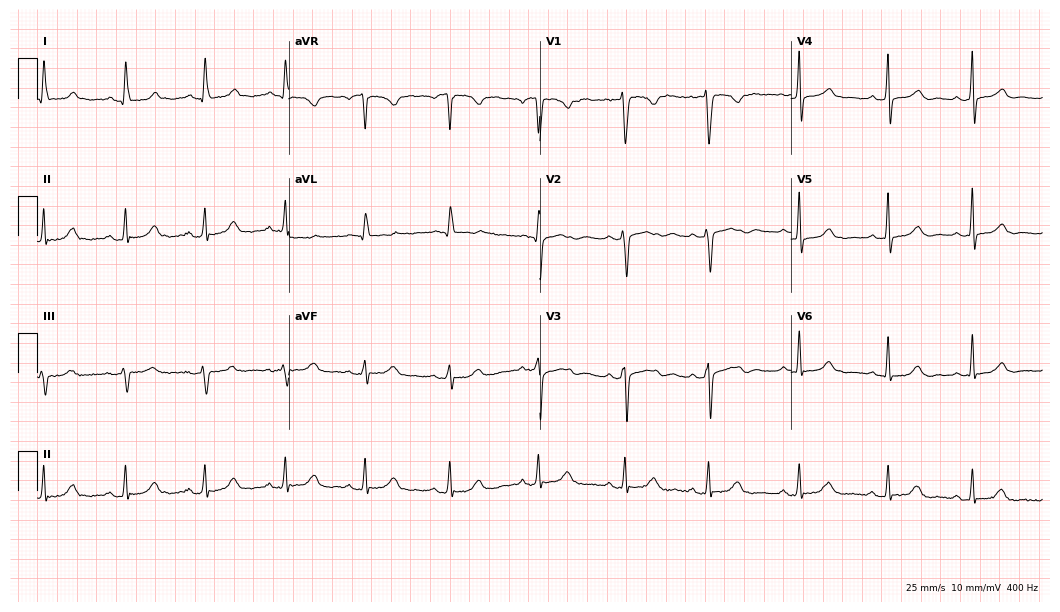
12-lead ECG (10.2-second recording at 400 Hz) from a 33-year-old female patient. Labelled as a normal ECG.